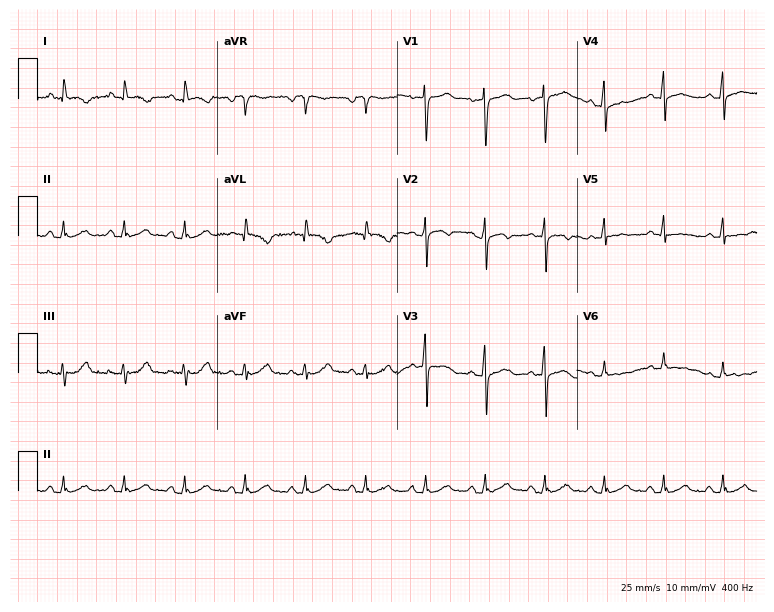
Standard 12-lead ECG recorded from a 48-year-old man. None of these six findings is recorded: first-degree AV block, right bundle branch block, left bundle branch block, sinus bradycardia, atrial fibrillation, sinus tachycardia.